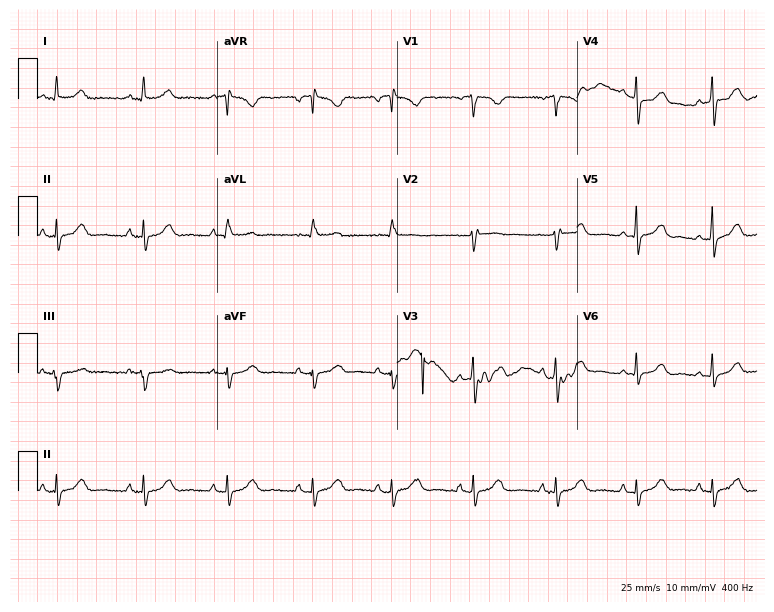
Standard 12-lead ECG recorded from a 39-year-old female (7.3-second recording at 400 Hz). Read as a normal ECG.